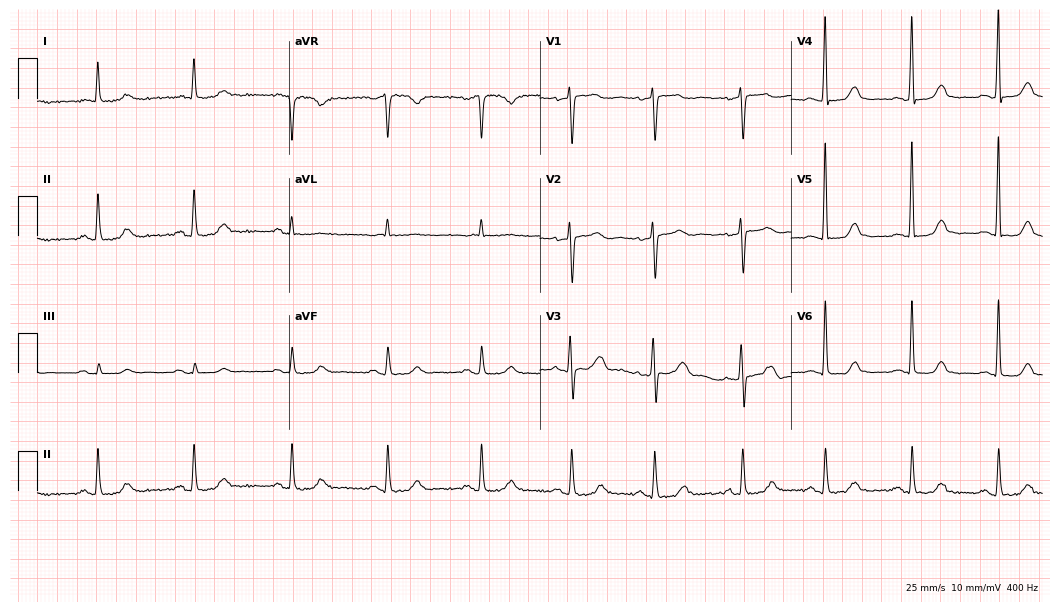
Resting 12-lead electrocardiogram. Patient: a 75-year-old female. Read as a normal ECG.